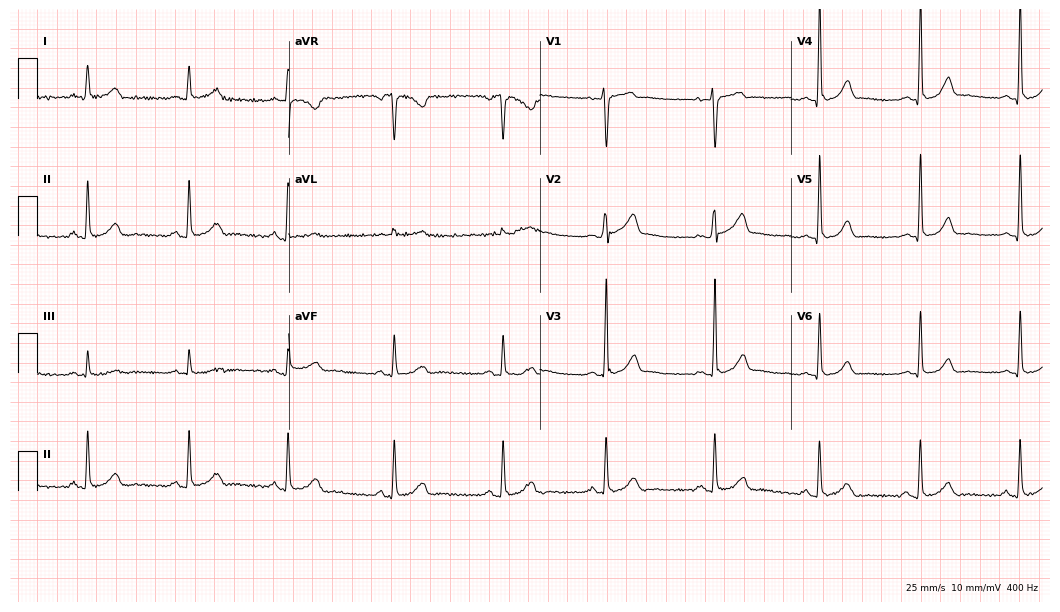
Electrocardiogram, a male, 45 years old. Overall reading on record: normal ECG.